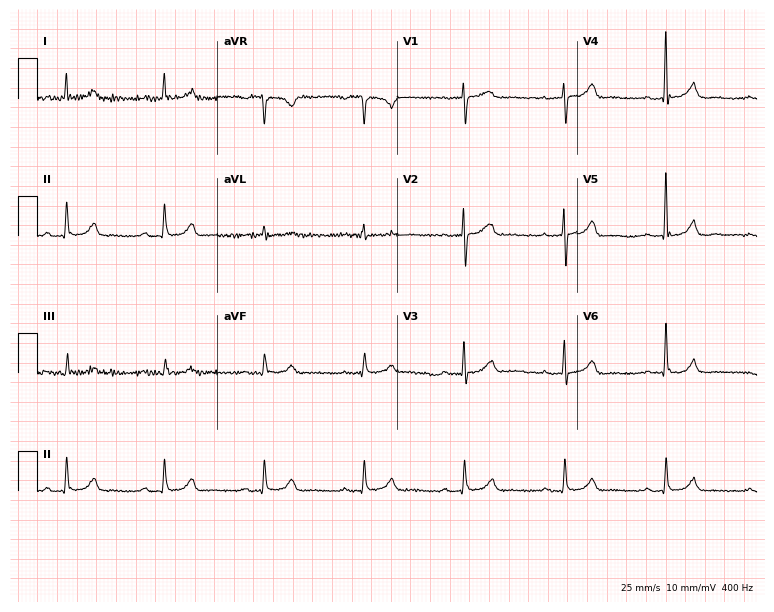
Standard 12-lead ECG recorded from an 82-year-old woman (7.3-second recording at 400 Hz). None of these six findings is recorded: first-degree AV block, right bundle branch block (RBBB), left bundle branch block (LBBB), sinus bradycardia, atrial fibrillation (AF), sinus tachycardia.